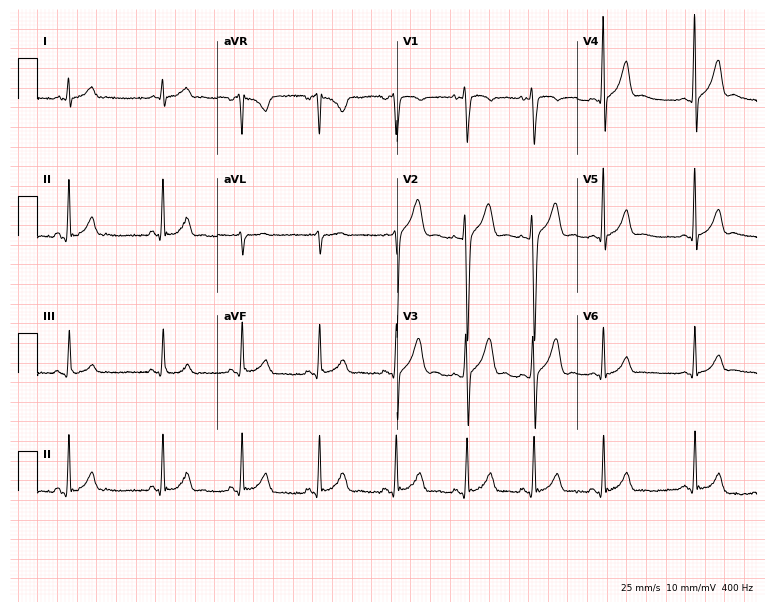
Standard 12-lead ECG recorded from a man, 18 years old (7.3-second recording at 400 Hz). Read as a normal ECG.